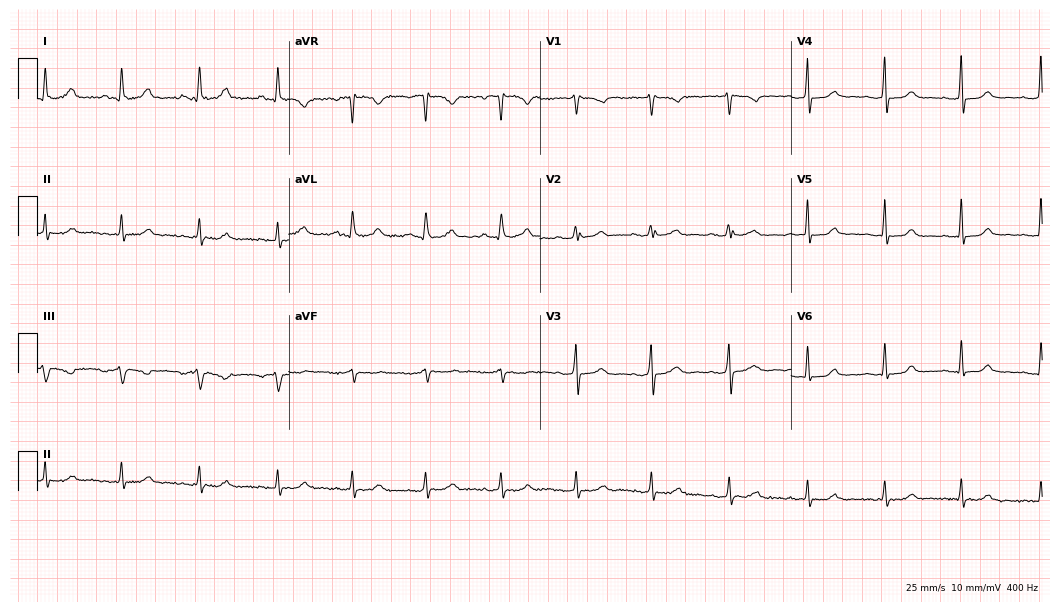
Electrocardiogram, a woman, 36 years old. Of the six screened findings (first-degree AV block, right bundle branch block (RBBB), left bundle branch block (LBBB), sinus bradycardia, atrial fibrillation (AF), sinus tachycardia), none is recorded. Other findings, if any, are not listed.